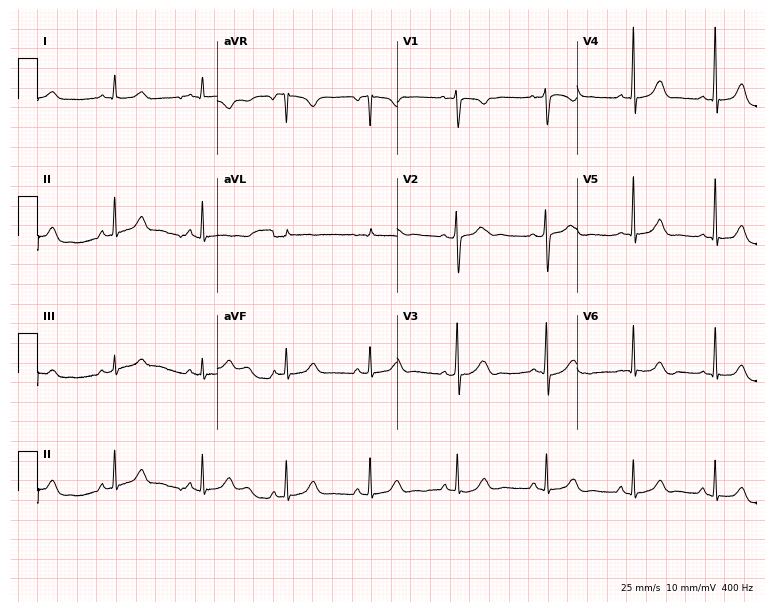
Standard 12-lead ECG recorded from a female, 47 years old (7.3-second recording at 400 Hz). Read as a normal ECG.